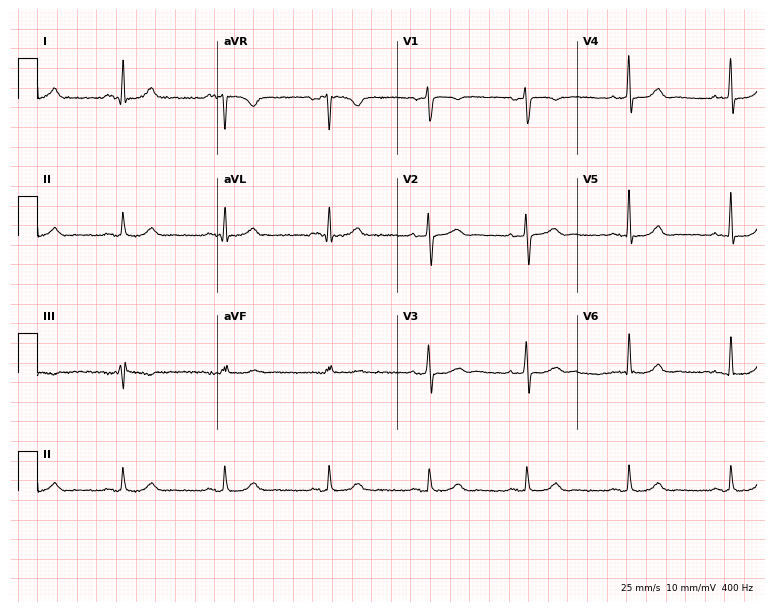
12-lead ECG from a 52-year-old female patient. Recorded interpretation: within normal limits.